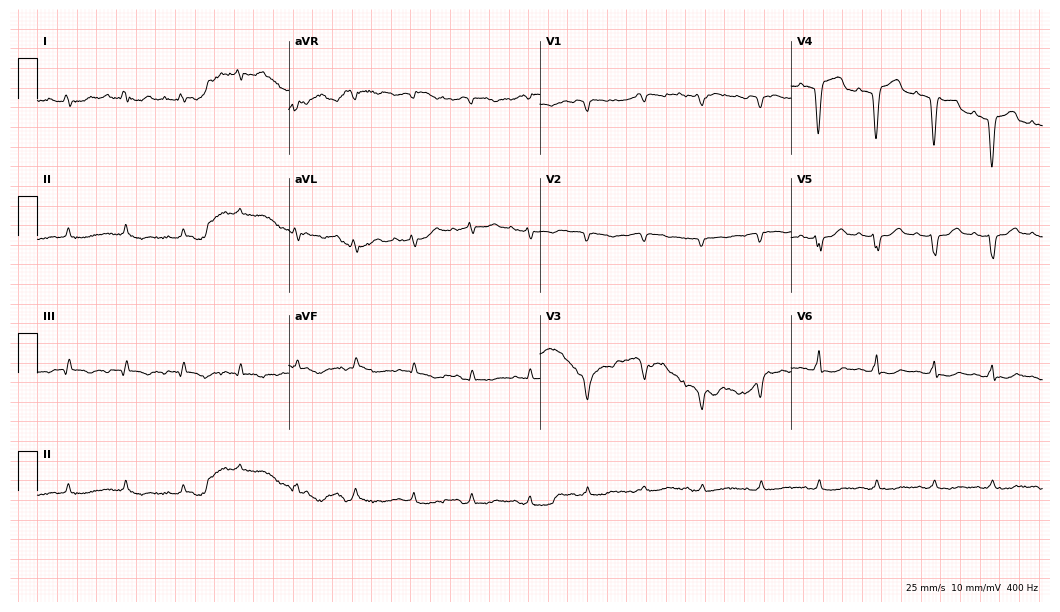
12-lead ECG from an 83-year-old male patient. Shows atrial fibrillation, sinus tachycardia (a sinus rate of 100 beats per minute or more).